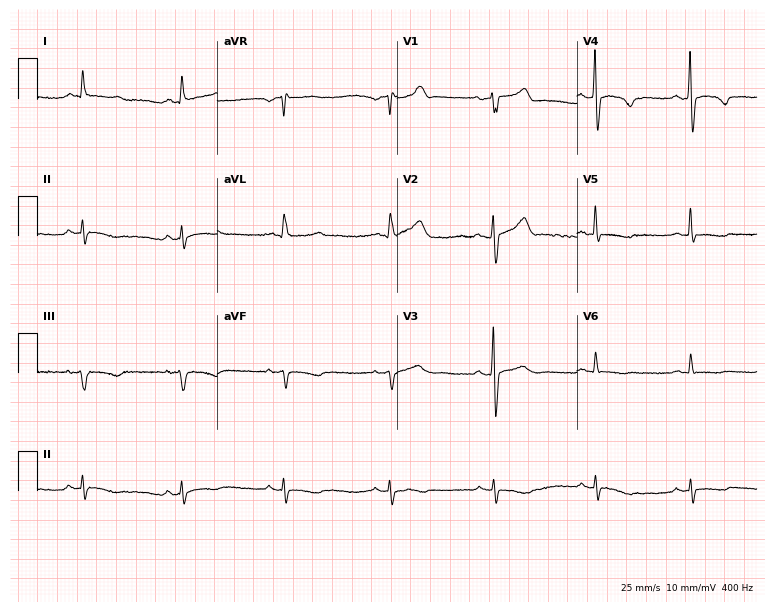
12-lead ECG (7.3-second recording at 400 Hz) from a 58-year-old male patient. Screened for six findings — first-degree AV block, right bundle branch block, left bundle branch block, sinus bradycardia, atrial fibrillation, sinus tachycardia — none is recorded. Other findings, if any, are not listed.